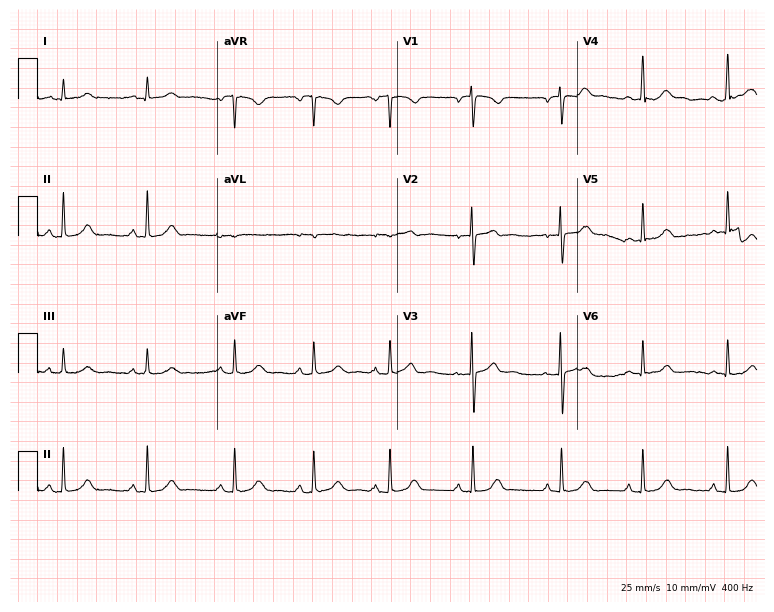
Resting 12-lead electrocardiogram. Patient: a 23-year-old woman. Read as a normal ECG.